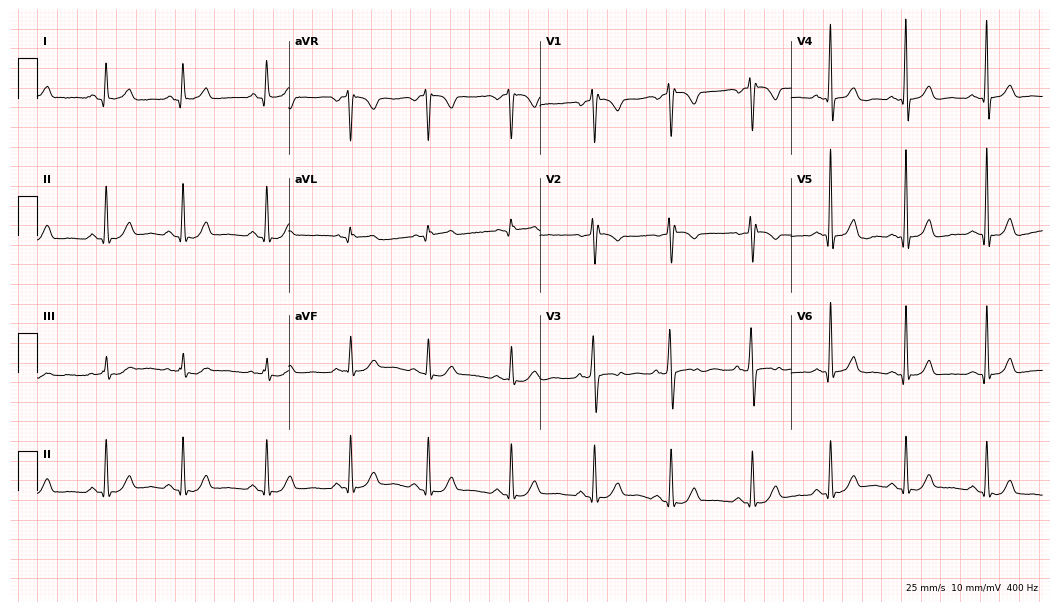
12-lead ECG from a 40-year-old female patient (10.2-second recording at 400 Hz). Recorded interpretation: within normal limits.